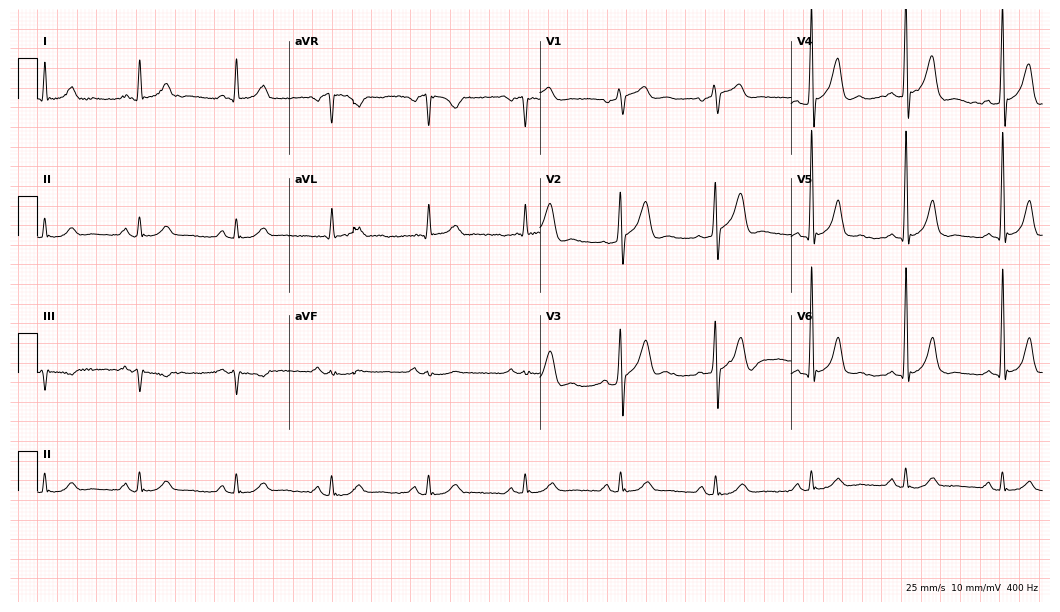
Electrocardiogram, a 68-year-old man. Of the six screened findings (first-degree AV block, right bundle branch block, left bundle branch block, sinus bradycardia, atrial fibrillation, sinus tachycardia), none is recorded. Only these six findings were labelled.